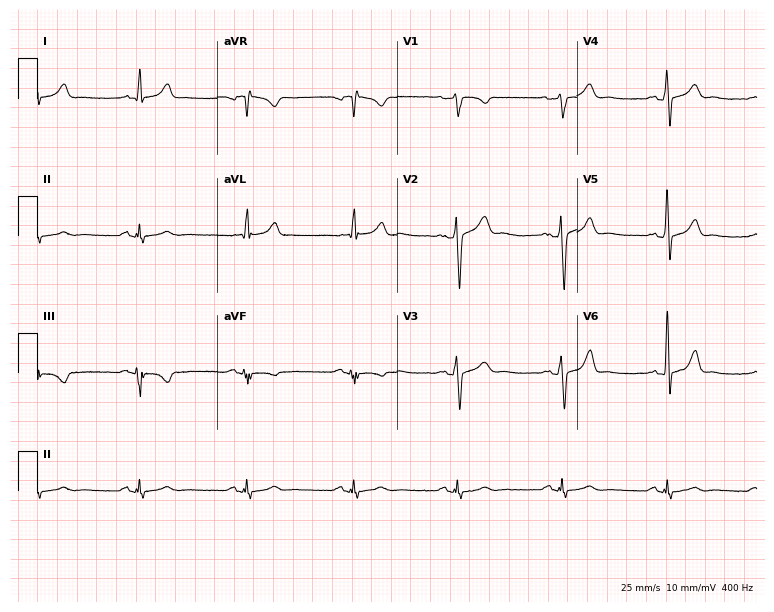
ECG (7.3-second recording at 400 Hz) — a male patient, 33 years old. Labelled as a normal ECG.